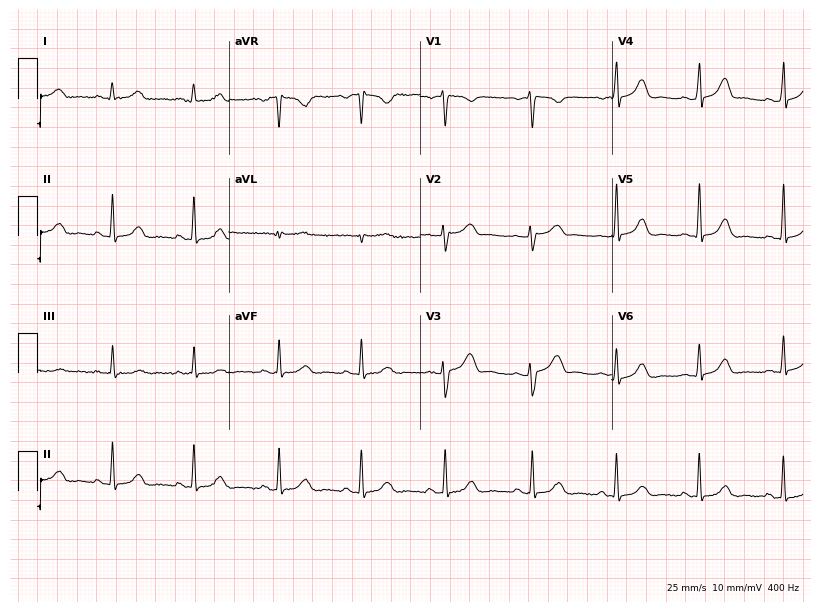
Standard 12-lead ECG recorded from a 46-year-old female patient. Read as a normal ECG.